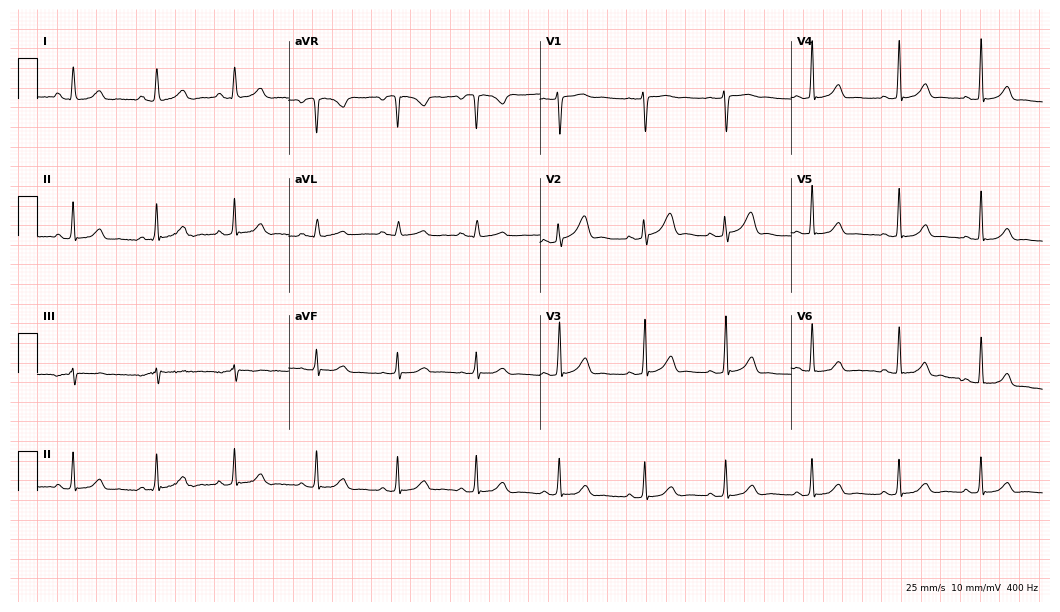
Resting 12-lead electrocardiogram (10.2-second recording at 400 Hz). Patient: a 67-year-old male. None of these six findings is recorded: first-degree AV block, right bundle branch block, left bundle branch block, sinus bradycardia, atrial fibrillation, sinus tachycardia. Findings outside these six are not listed.